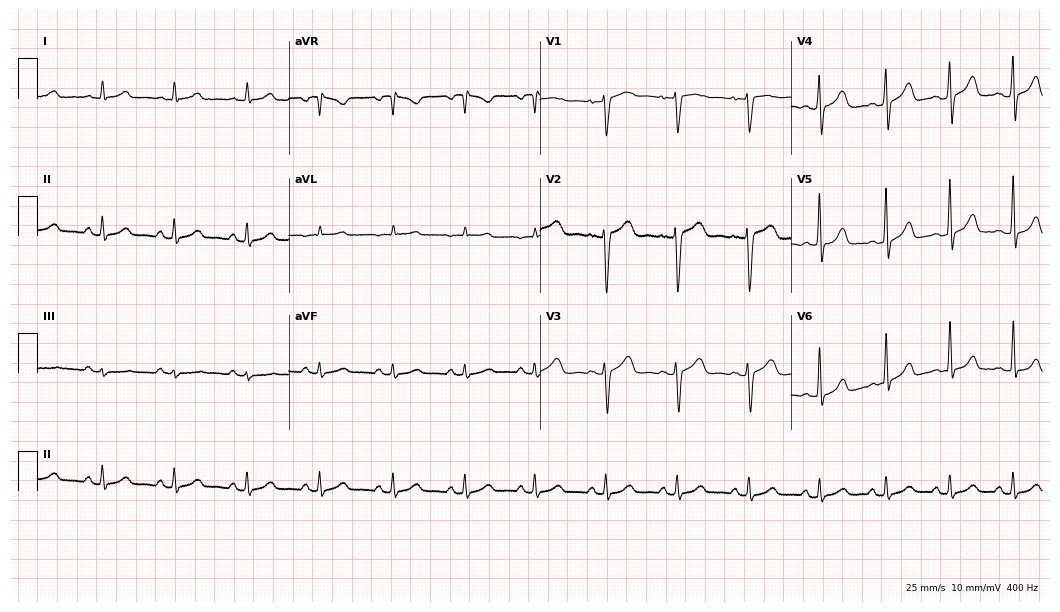
12-lead ECG from a woman, 34 years old (10.2-second recording at 400 Hz). Recorded interpretation: within normal limits.